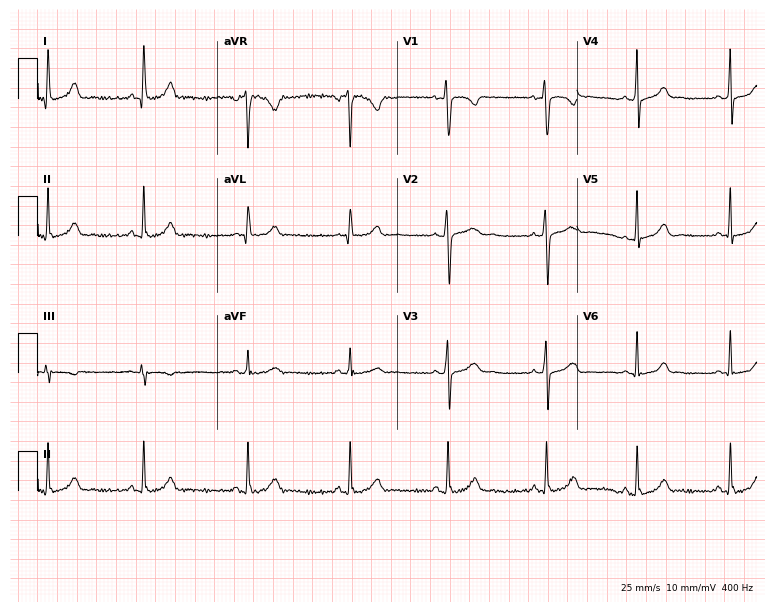
Electrocardiogram, a 23-year-old female. Of the six screened findings (first-degree AV block, right bundle branch block (RBBB), left bundle branch block (LBBB), sinus bradycardia, atrial fibrillation (AF), sinus tachycardia), none is recorded. Only these six findings were labelled.